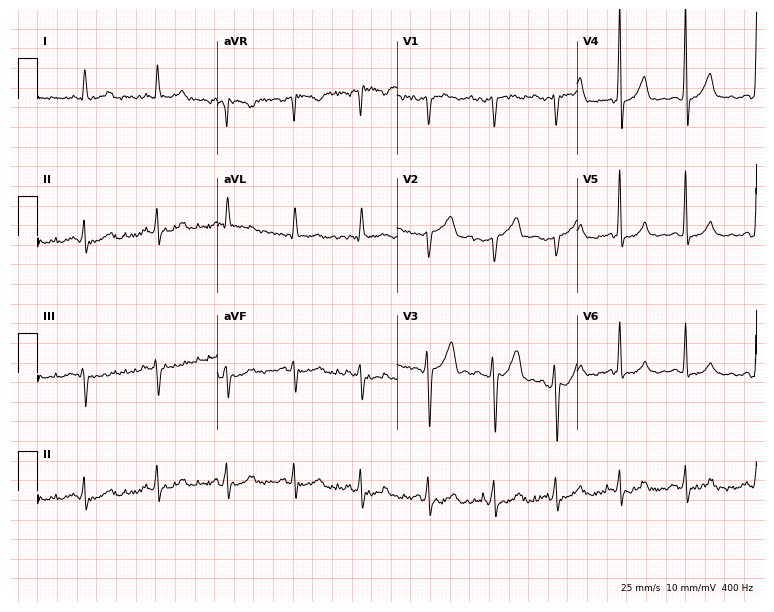
12-lead ECG from a 52-year-old male patient. Screened for six findings — first-degree AV block, right bundle branch block, left bundle branch block, sinus bradycardia, atrial fibrillation, sinus tachycardia — none is recorded. Findings outside these six are not listed.